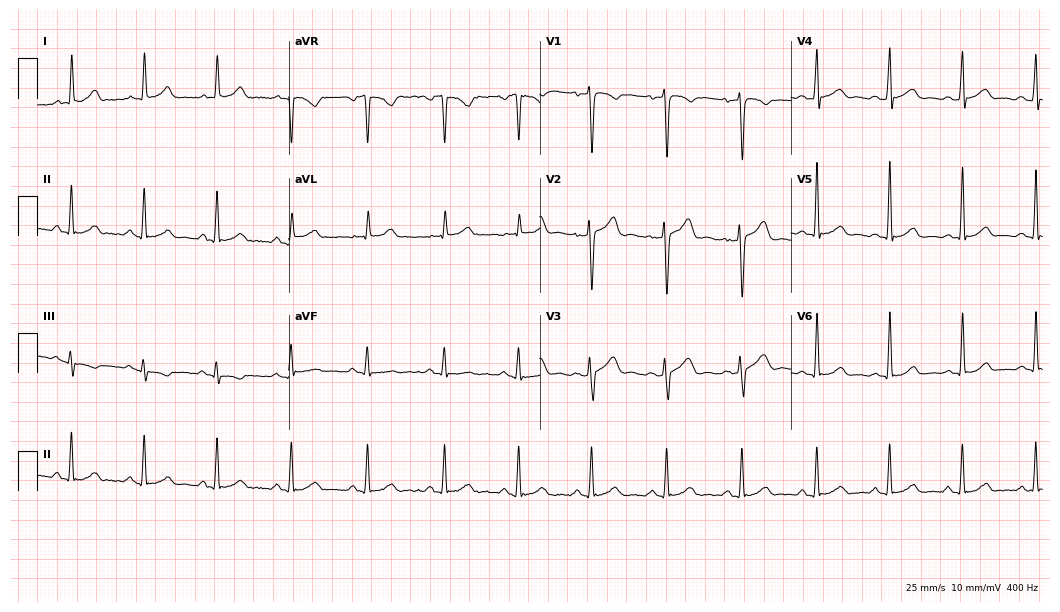
12-lead ECG from a male patient, 42 years old. Recorded interpretation: within normal limits.